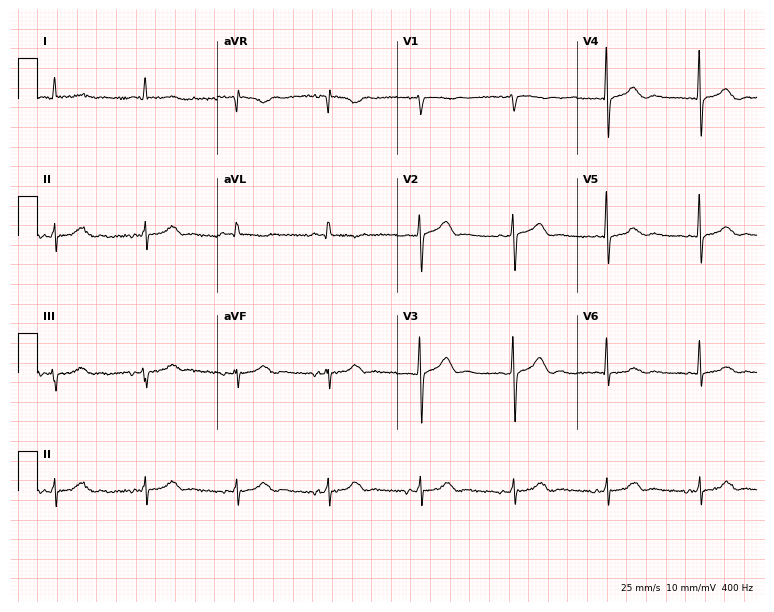
Standard 12-lead ECG recorded from a man, 81 years old. None of these six findings is recorded: first-degree AV block, right bundle branch block, left bundle branch block, sinus bradycardia, atrial fibrillation, sinus tachycardia.